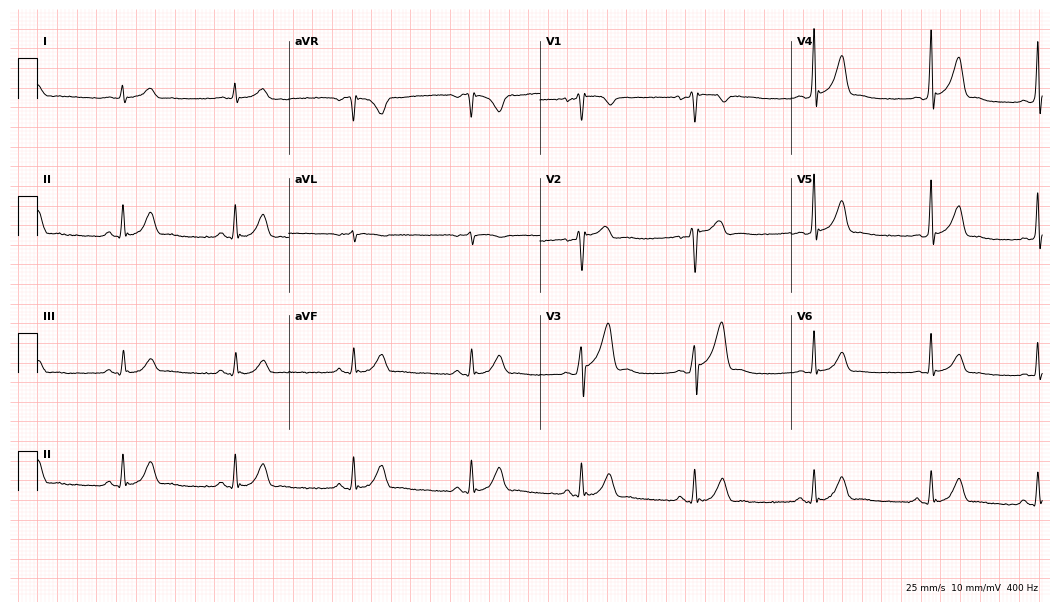
Electrocardiogram (10.2-second recording at 400 Hz), a man, 34 years old. Overall reading on record: normal ECG.